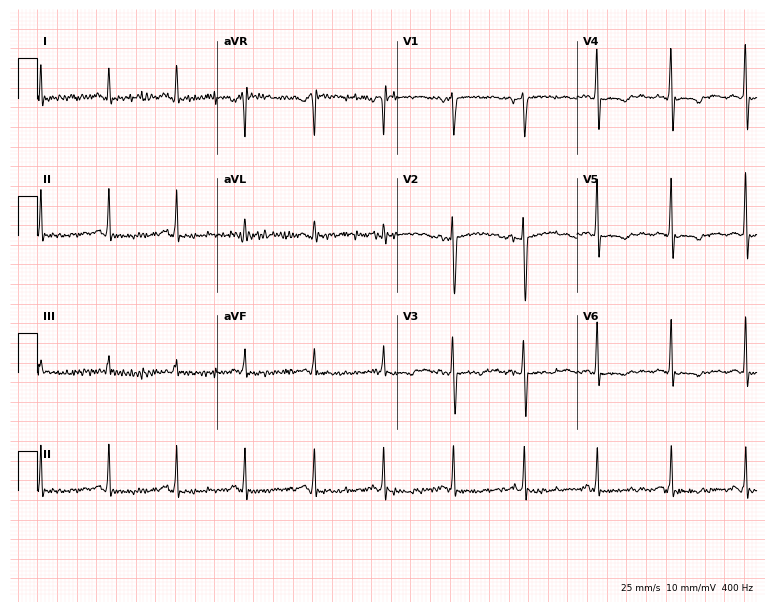
12-lead ECG from a female patient, 48 years old. Screened for six findings — first-degree AV block, right bundle branch block, left bundle branch block, sinus bradycardia, atrial fibrillation, sinus tachycardia — none is recorded.